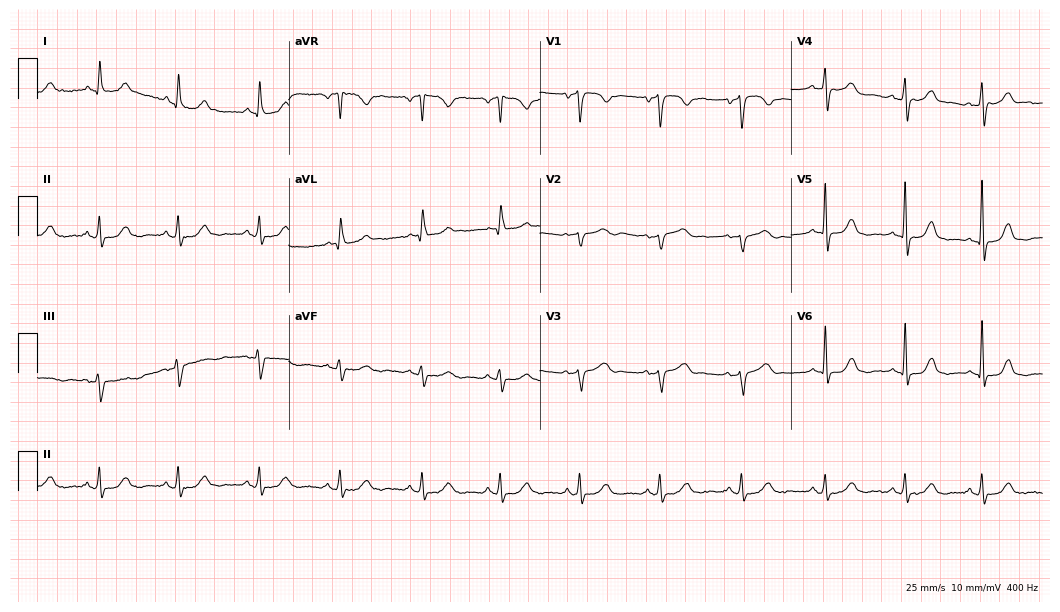
Resting 12-lead electrocardiogram (10.2-second recording at 400 Hz). Patient: a 79-year-old woman. Read as a normal ECG.